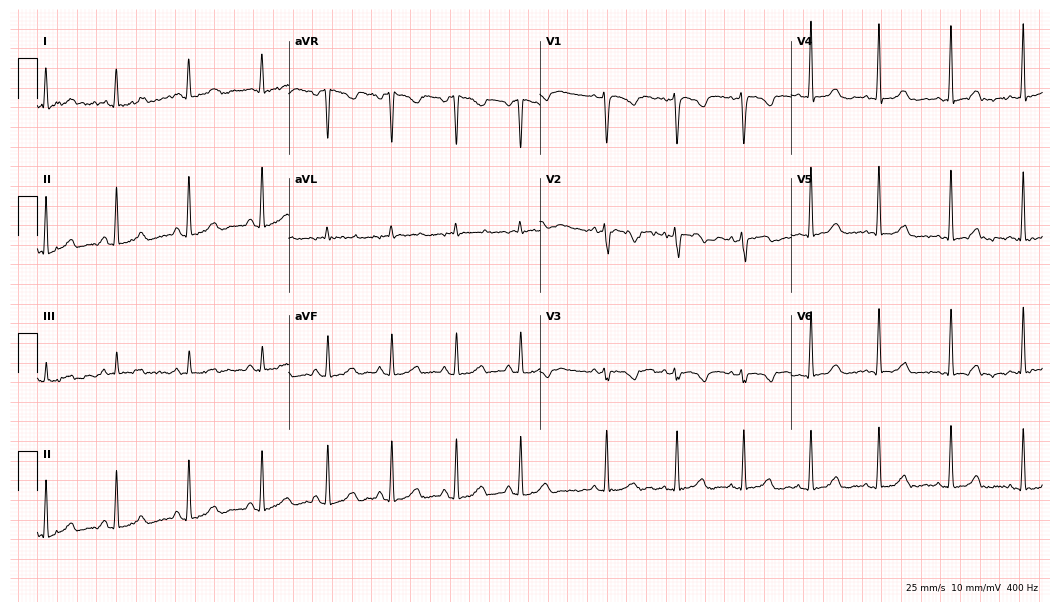
Resting 12-lead electrocardiogram. Patient: a 36-year-old female. Read as a normal ECG.